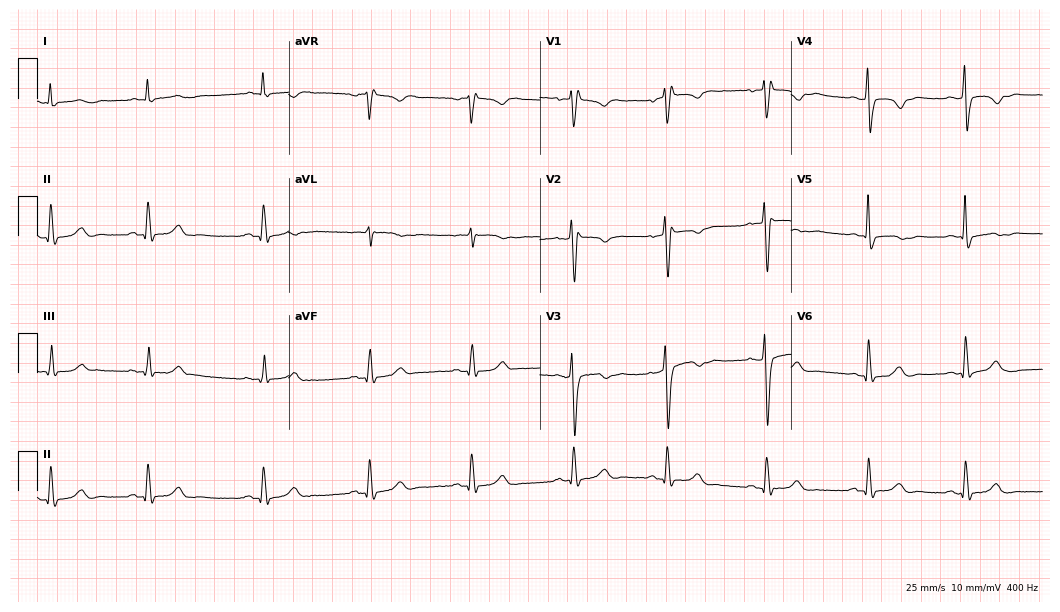
ECG — a 27-year-old female. Findings include right bundle branch block.